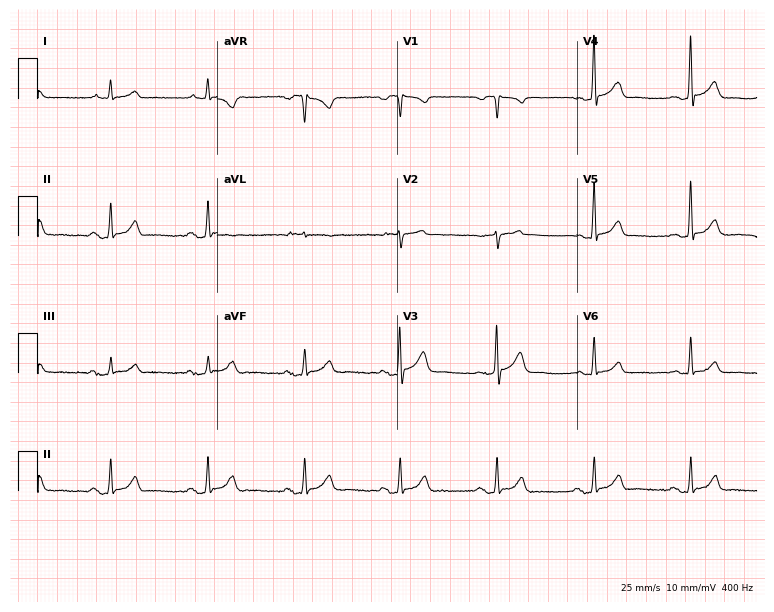
Resting 12-lead electrocardiogram. Patient: a man, 65 years old. None of these six findings is recorded: first-degree AV block, right bundle branch block, left bundle branch block, sinus bradycardia, atrial fibrillation, sinus tachycardia. Only these six findings were labelled.